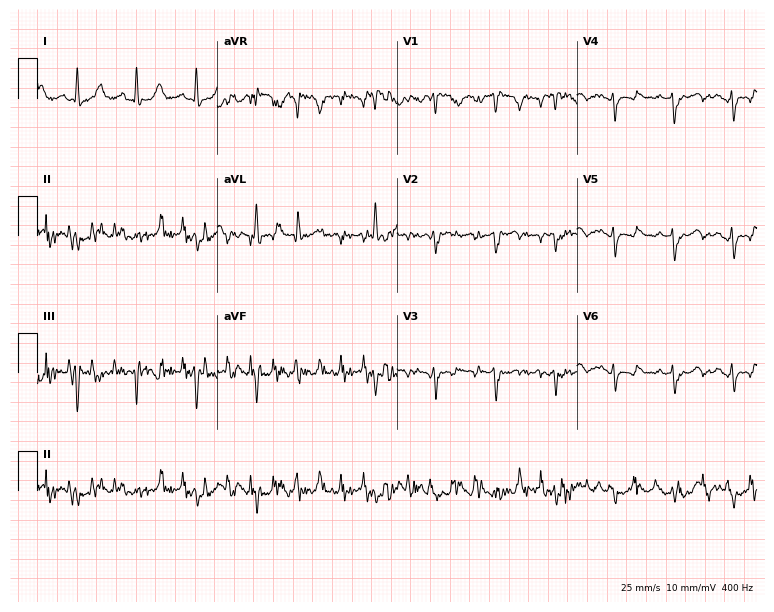
12-lead ECG from a woman, 74 years old (7.3-second recording at 400 Hz). No first-degree AV block, right bundle branch block, left bundle branch block, sinus bradycardia, atrial fibrillation or sinus tachycardia recorded for this tracing. Other findings, if any, are not listed.